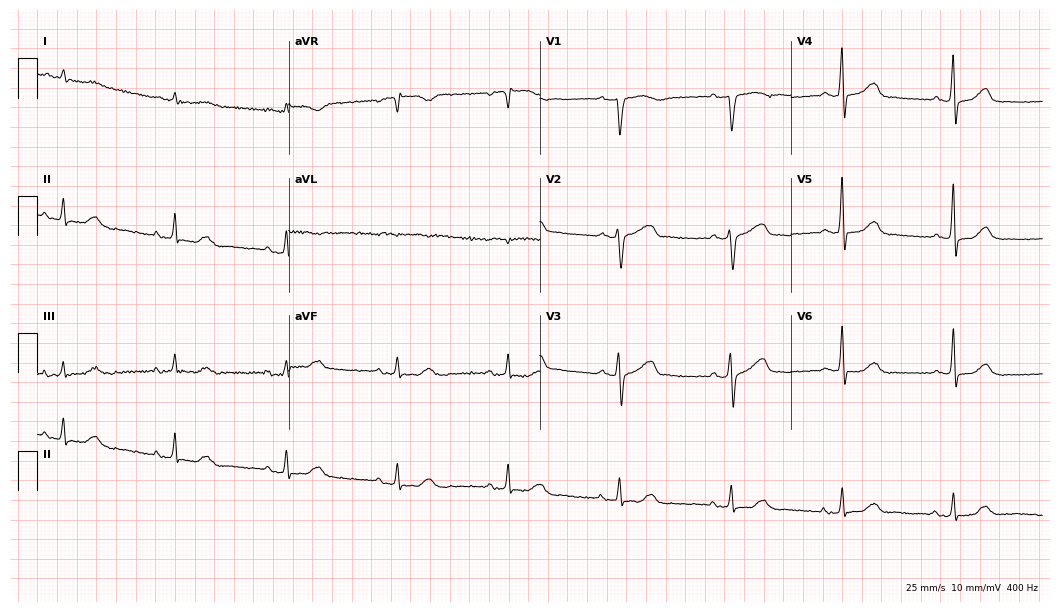
Standard 12-lead ECG recorded from a man, 82 years old. None of these six findings is recorded: first-degree AV block, right bundle branch block (RBBB), left bundle branch block (LBBB), sinus bradycardia, atrial fibrillation (AF), sinus tachycardia. Findings outside these six are not listed.